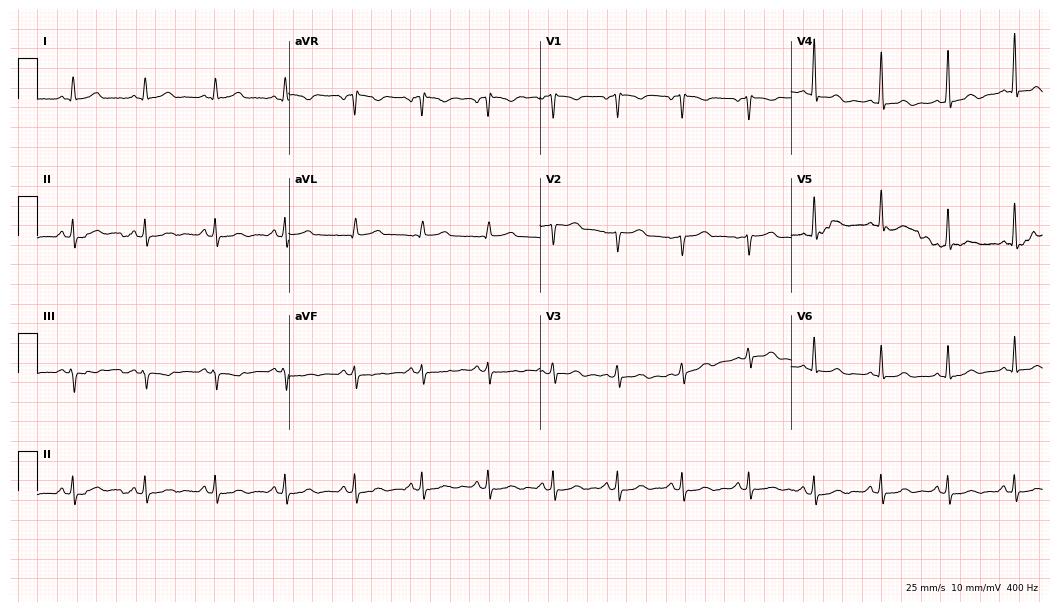
Resting 12-lead electrocardiogram (10.2-second recording at 400 Hz). Patient: a 45-year-old female. None of these six findings is recorded: first-degree AV block, right bundle branch block, left bundle branch block, sinus bradycardia, atrial fibrillation, sinus tachycardia.